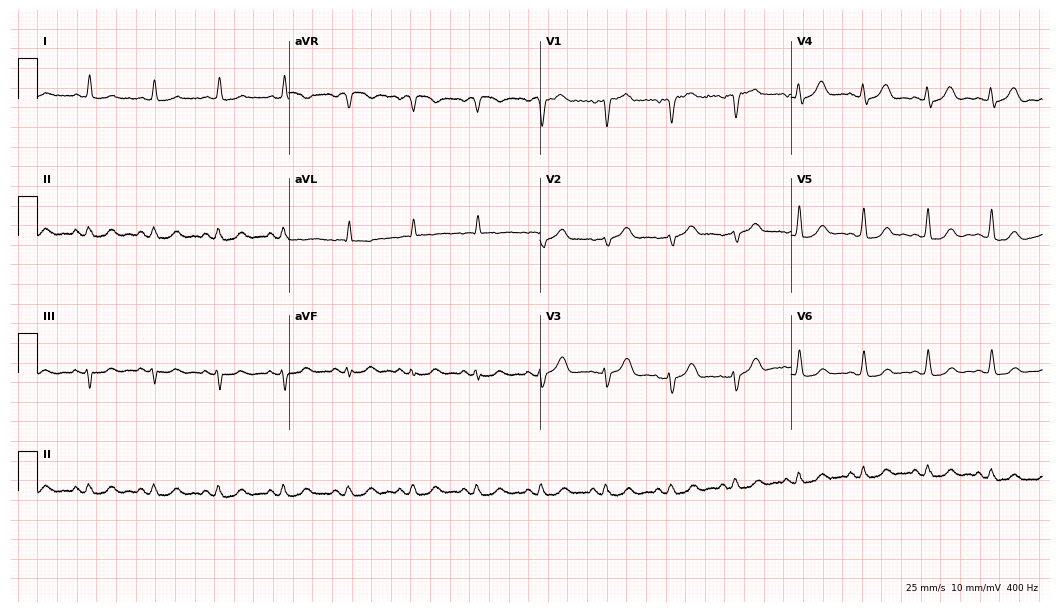
Standard 12-lead ECG recorded from a male, 79 years old (10.2-second recording at 400 Hz). Read as a normal ECG.